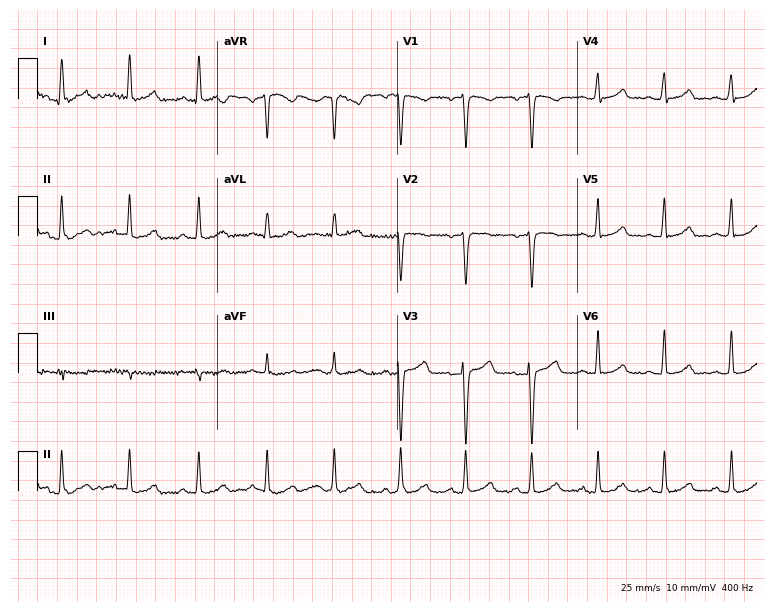
Electrocardiogram (7.3-second recording at 400 Hz), a 40-year-old woman. Overall reading on record: normal ECG.